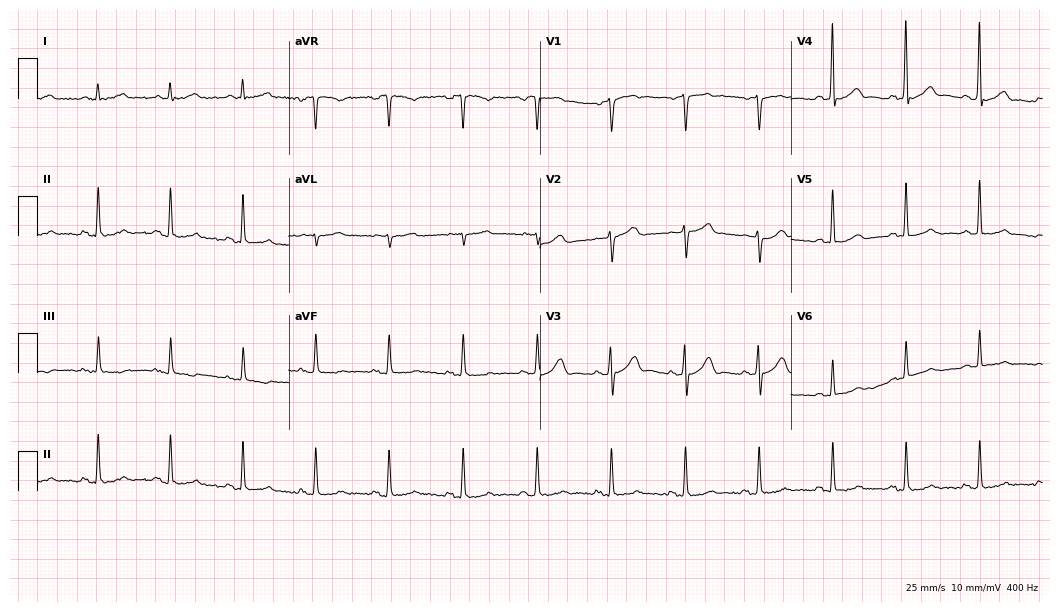
12-lead ECG from a male patient, 56 years old. Recorded interpretation: within normal limits.